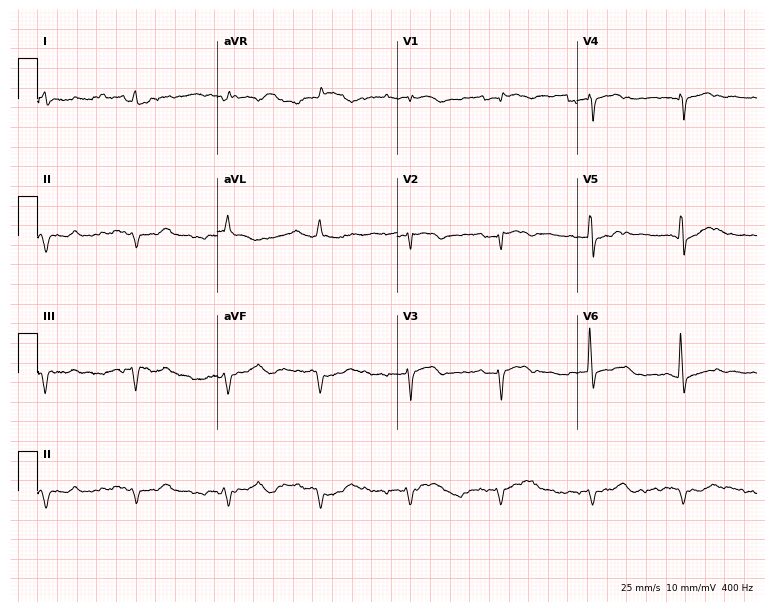
12-lead ECG from a man, 70 years old. No first-degree AV block, right bundle branch block, left bundle branch block, sinus bradycardia, atrial fibrillation or sinus tachycardia recorded for this tracing. Findings outside these six are not listed.